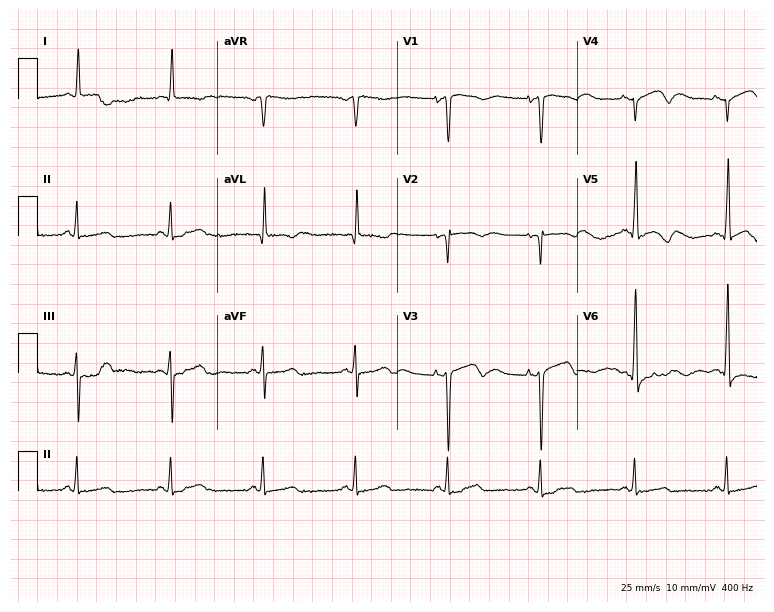
ECG (7.3-second recording at 400 Hz) — a man, 82 years old. Screened for six findings — first-degree AV block, right bundle branch block, left bundle branch block, sinus bradycardia, atrial fibrillation, sinus tachycardia — none is recorded.